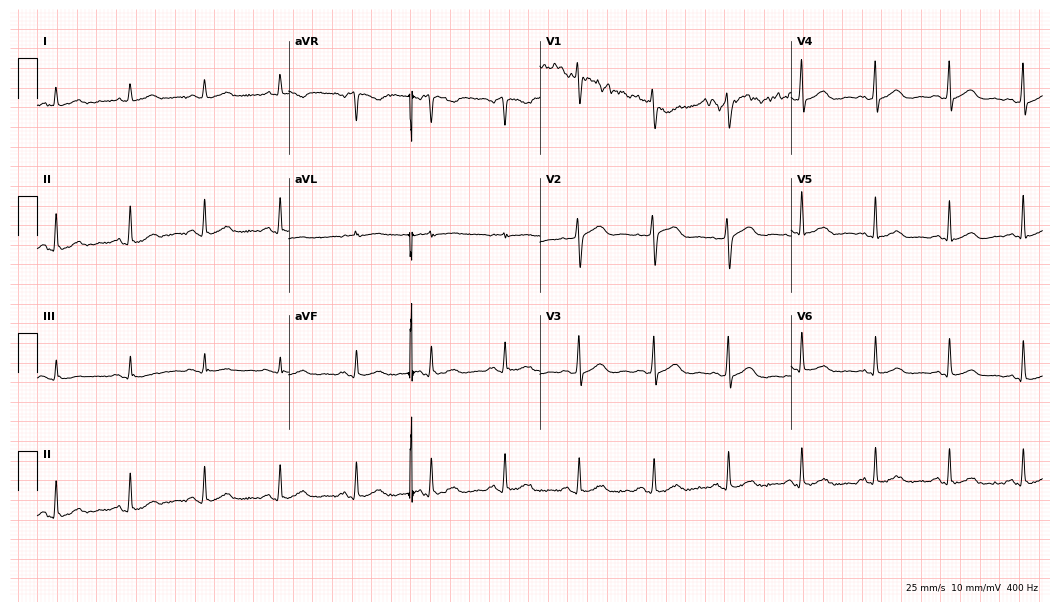
12-lead ECG from a woman, 55 years old. Recorded interpretation: within normal limits.